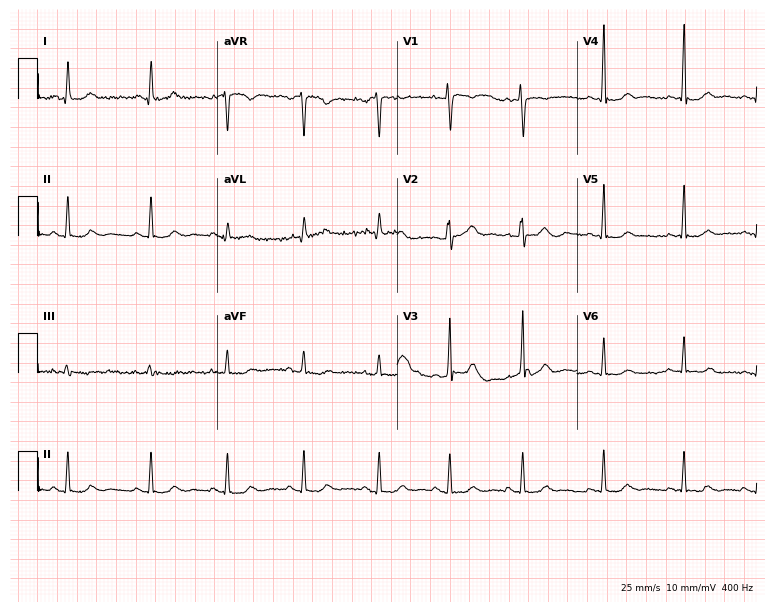
Standard 12-lead ECG recorded from a 31-year-old female patient (7.3-second recording at 400 Hz). None of these six findings is recorded: first-degree AV block, right bundle branch block (RBBB), left bundle branch block (LBBB), sinus bradycardia, atrial fibrillation (AF), sinus tachycardia. Only these six findings were labelled.